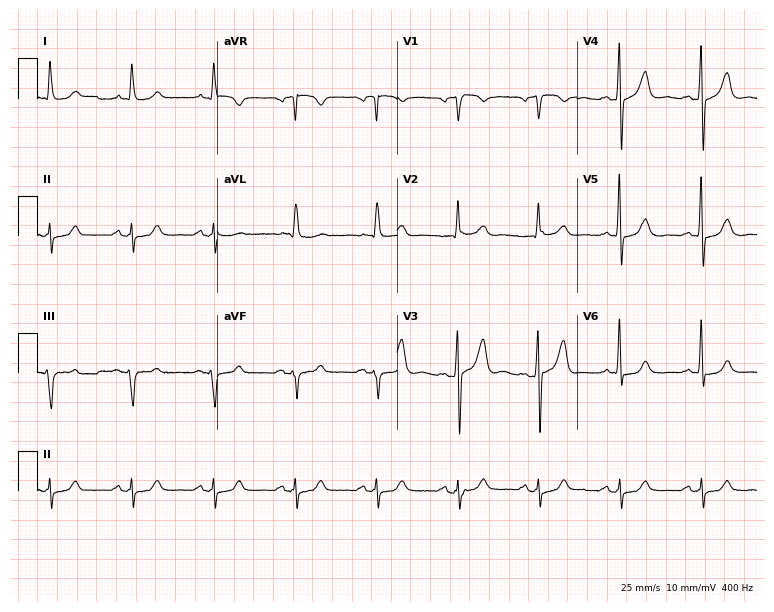
12-lead ECG from a male, 78 years old (7.3-second recording at 400 Hz). No first-degree AV block, right bundle branch block, left bundle branch block, sinus bradycardia, atrial fibrillation or sinus tachycardia recorded for this tracing.